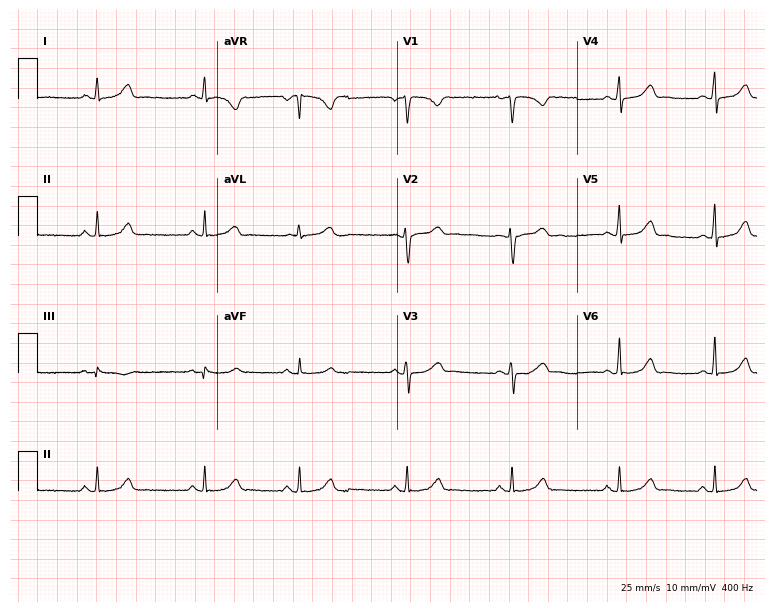
Standard 12-lead ECG recorded from a 31-year-old female (7.3-second recording at 400 Hz). None of these six findings is recorded: first-degree AV block, right bundle branch block, left bundle branch block, sinus bradycardia, atrial fibrillation, sinus tachycardia. Other findings, if any, are not listed.